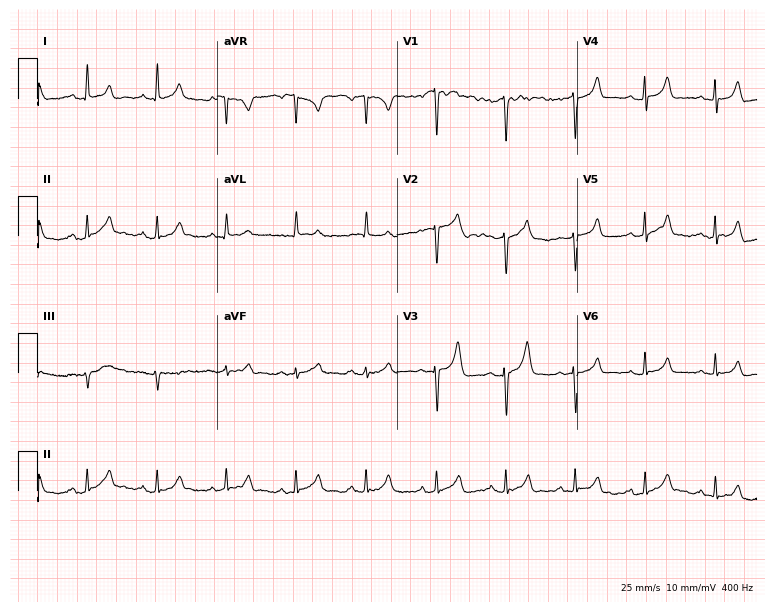
12-lead ECG from a female patient, 70 years old (7.3-second recording at 400 Hz). Recorded interpretation: within normal limits.